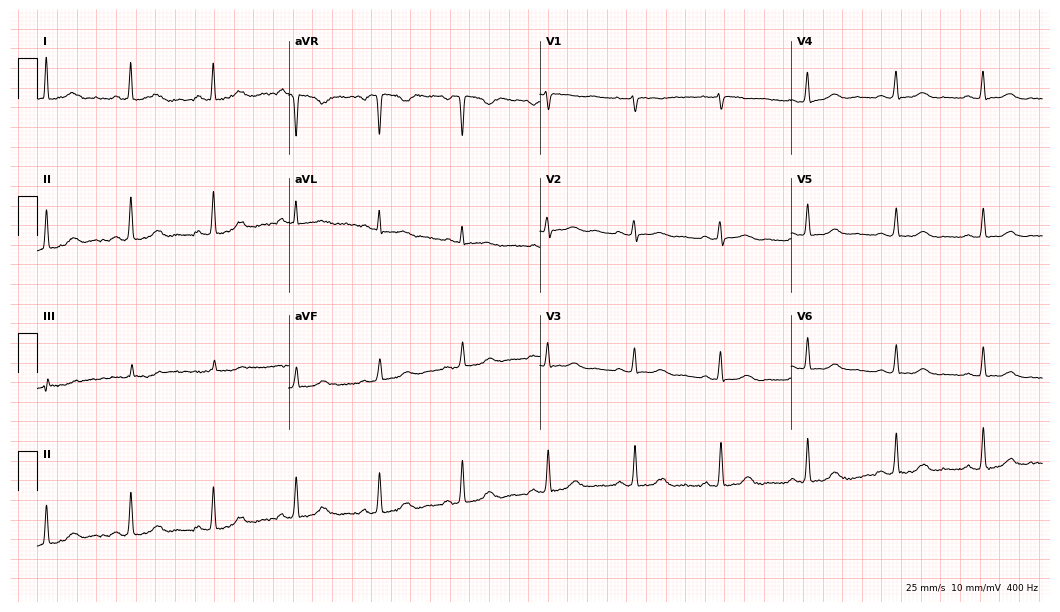
ECG (10.2-second recording at 400 Hz) — a female patient, 58 years old. Screened for six findings — first-degree AV block, right bundle branch block (RBBB), left bundle branch block (LBBB), sinus bradycardia, atrial fibrillation (AF), sinus tachycardia — none is recorded.